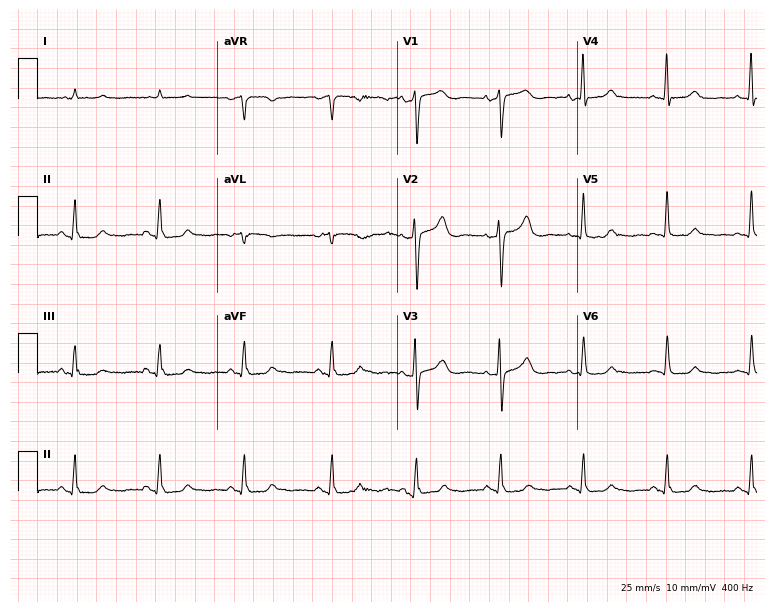
Standard 12-lead ECG recorded from a male, 68 years old (7.3-second recording at 400 Hz). Read as a normal ECG.